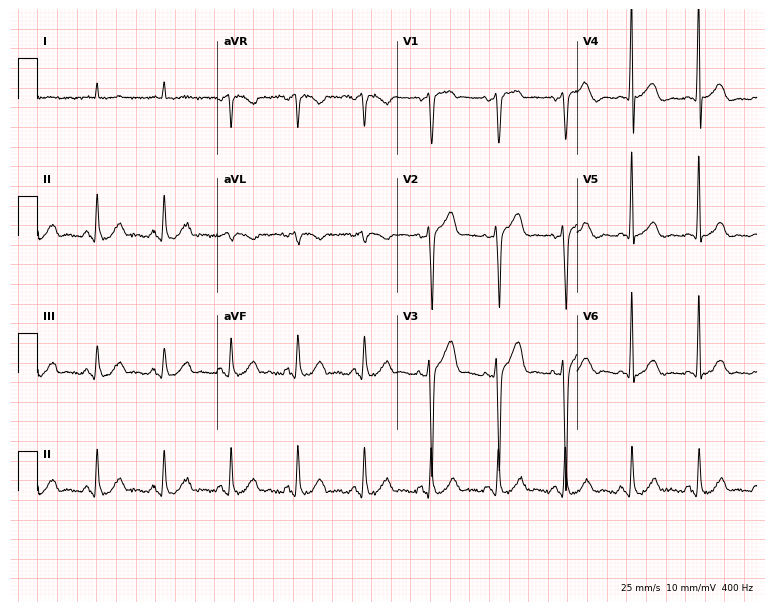
Electrocardiogram, a 69-year-old male. Of the six screened findings (first-degree AV block, right bundle branch block, left bundle branch block, sinus bradycardia, atrial fibrillation, sinus tachycardia), none is recorded.